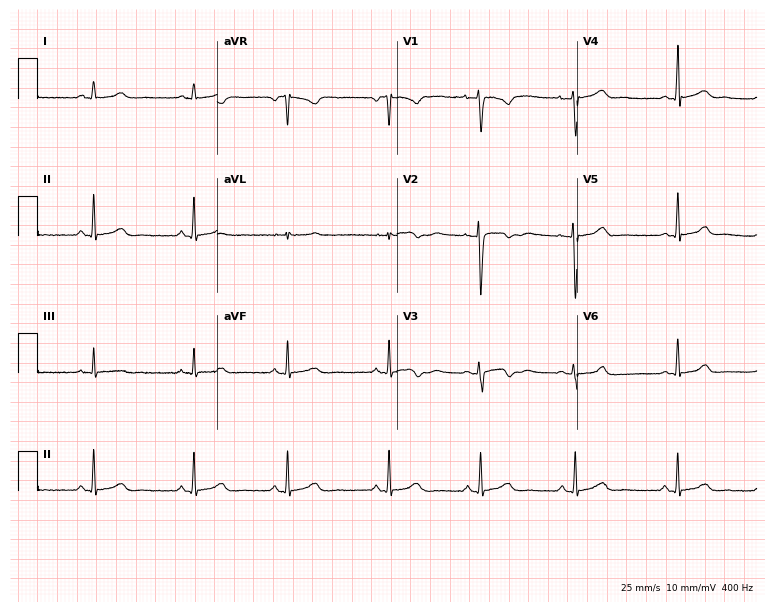
Standard 12-lead ECG recorded from a 21-year-old female patient (7.3-second recording at 400 Hz). Read as a normal ECG.